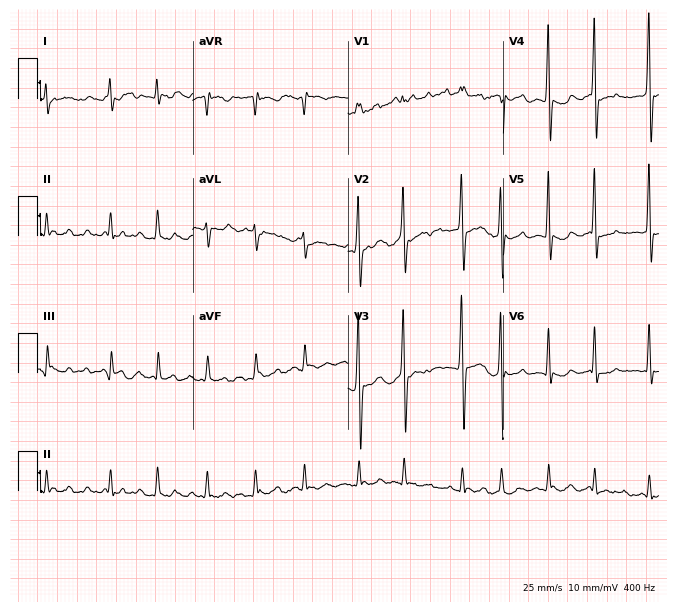
Resting 12-lead electrocardiogram. Patient: a man, 70 years old. None of these six findings is recorded: first-degree AV block, right bundle branch block, left bundle branch block, sinus bradycardia, atrial fibrillation, sinus tachycardia.